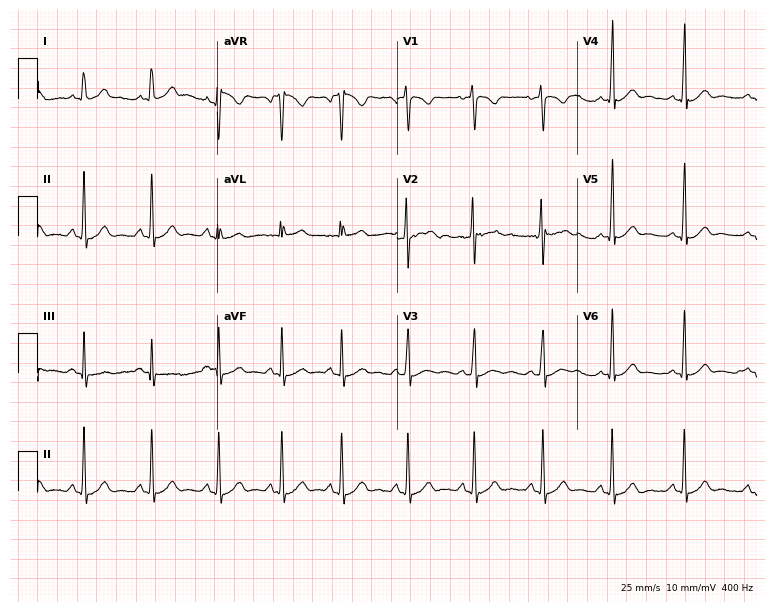
ECG (7.3-second recording at 400 Hz) — a female, 33 years old. Labelled as a normal ECG.